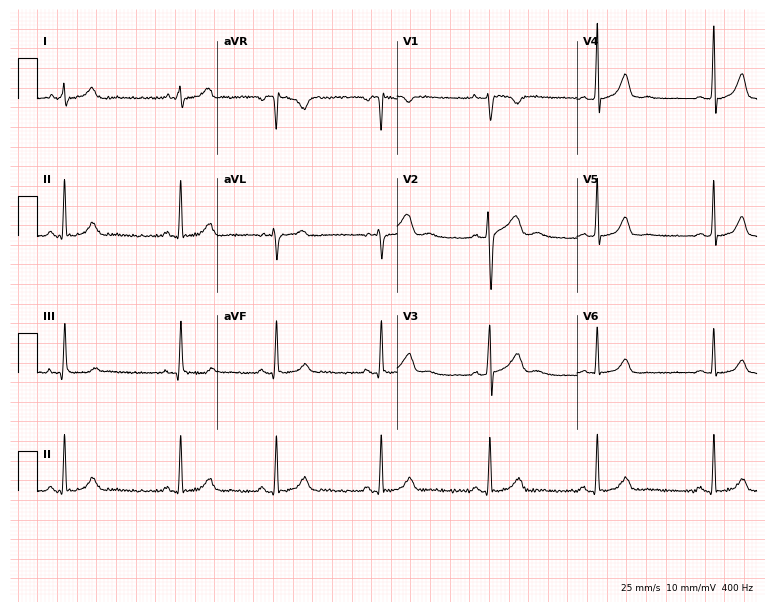
Resting 12-lead electrocardiogram (7.3-second recording at 400 Hz). Patient: a female, 30 years old. None of these six findings is recorded: first-degree AV block, right bundle branch block, left bundle branch block, sinus bradycardia, atrial fibrillation, sinus tachycardia. Other findings, if any, are not listed.